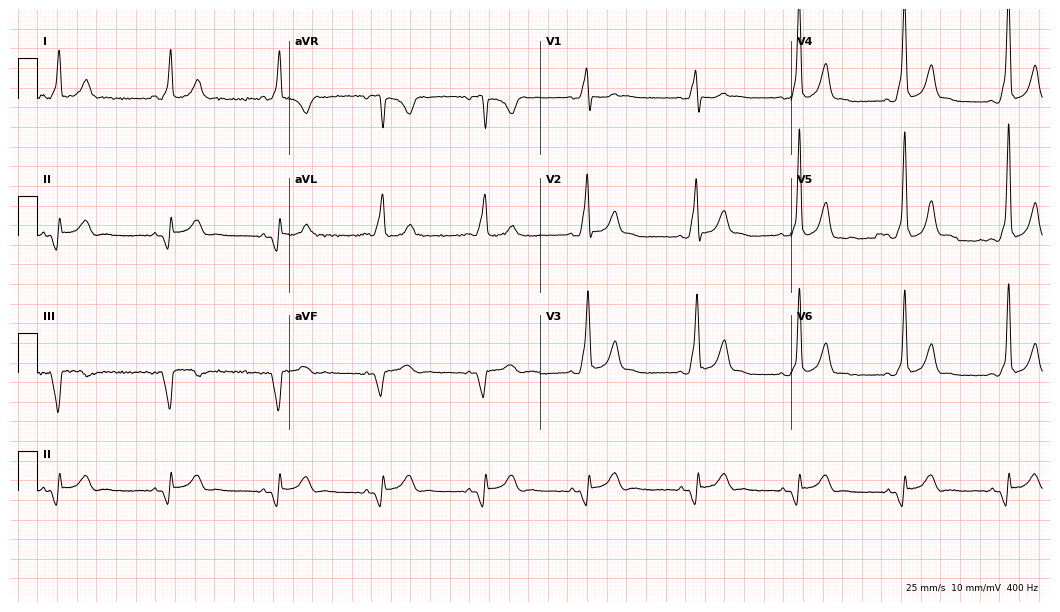
12-lead ECG (10.2-second recording at 400 Hz) from a man, 30 years old. Screened for six findings — first-degree AV block, right bundle branch block (RBBB), left bundle branch block (LBBB), sinus bradycardia, atrial fibrillation (AF), sinus tachycardia — none is recorded.